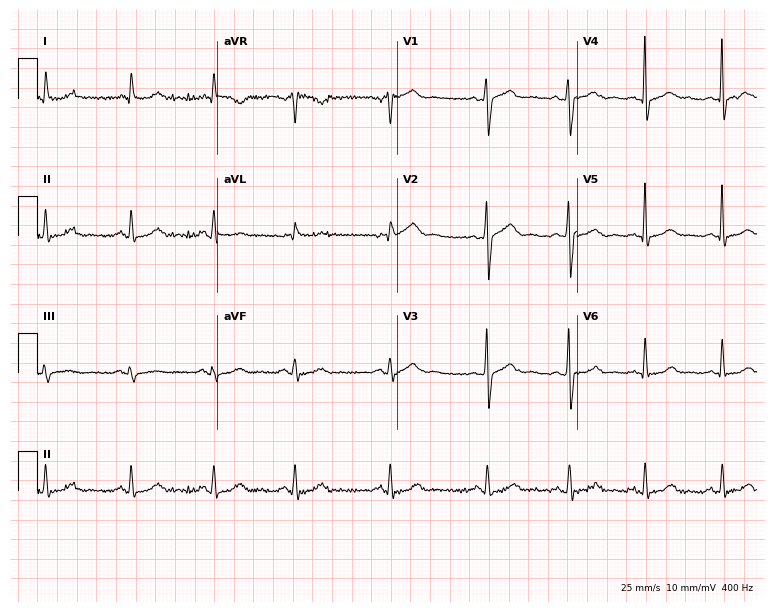
ECG (7.3-second recording at 400 Hz) — a 64-year-old woman. Screened for six findings — first-degree AV block, right bundle branch block, left bundle branch block, sinus bradycardia, atrial fibrillation, sinus tachycardia — none is recorded.